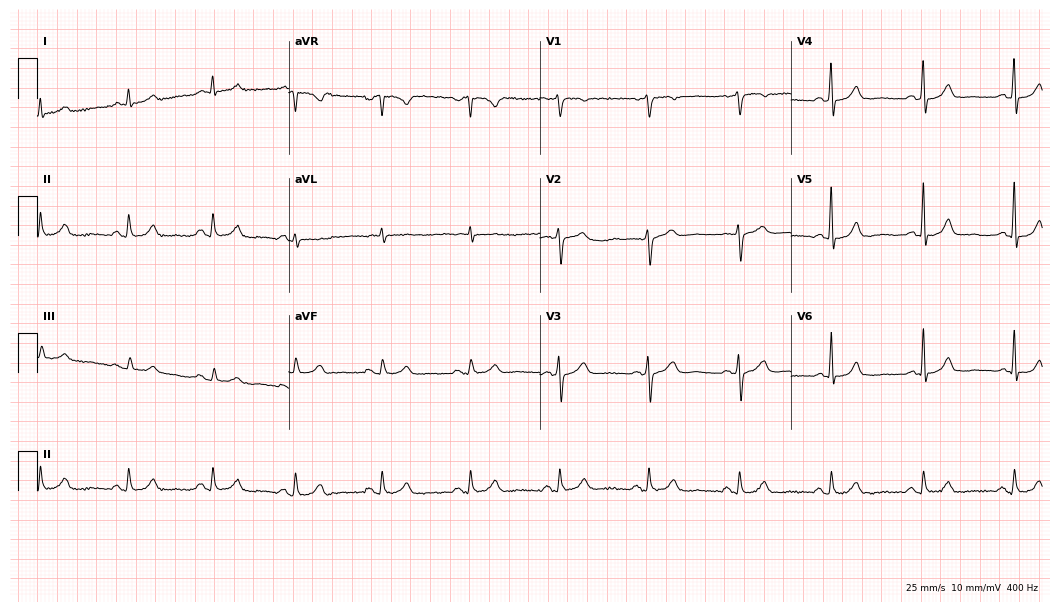
Electrocardiogram (10.2-second recording at 400 Hz), a male, 72 years old. Overall reading on record: normal ECG.